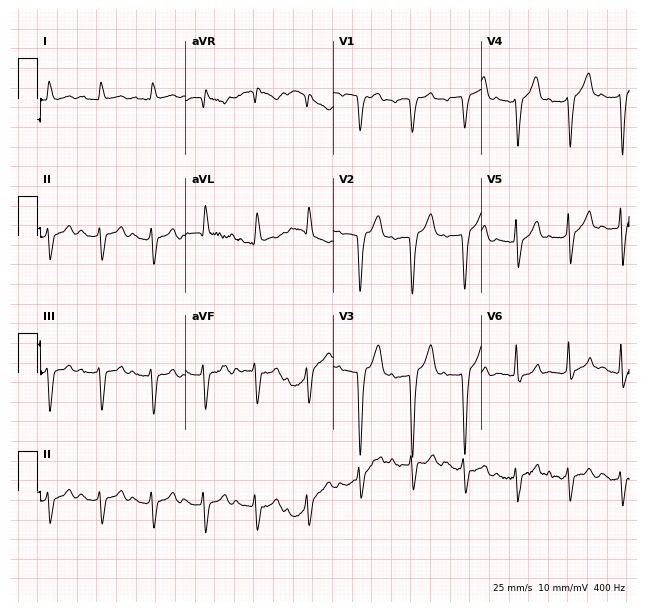
ECG (6-second recording at 400 Hz) — a male, 84 years old. Findings include sinus tachycardia (a sinus rate of 100 beats per minute or more).